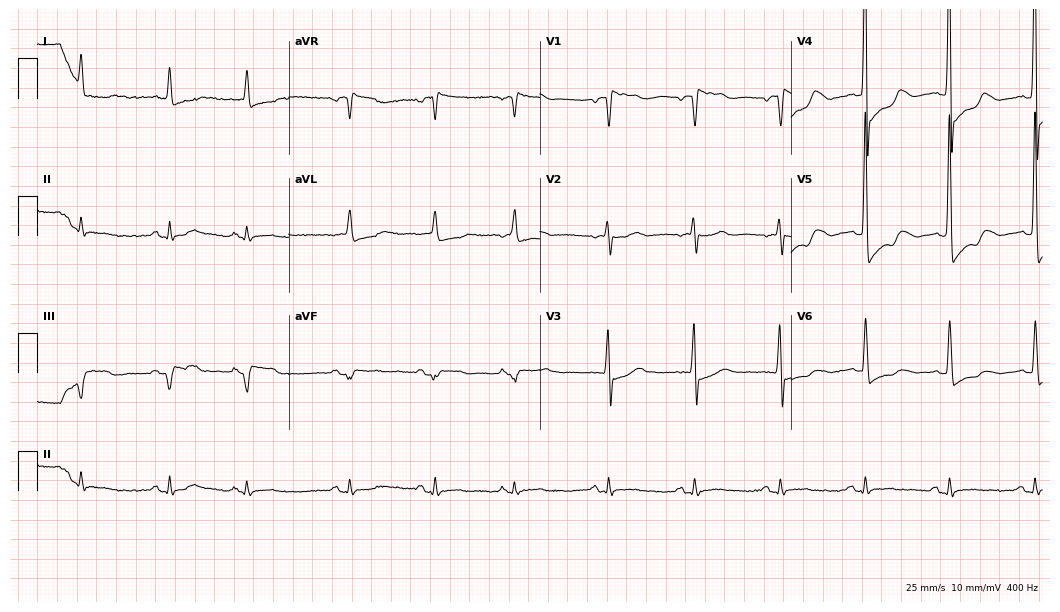
12-lead ECG from an 82-year-old female patient. No first-degree AV block, right bundle branch block, left bundle branch block, sinus bradycardia, atrial fibrillation or sinus tachycardia recorded for this tracing. Only these six findings were labelled.